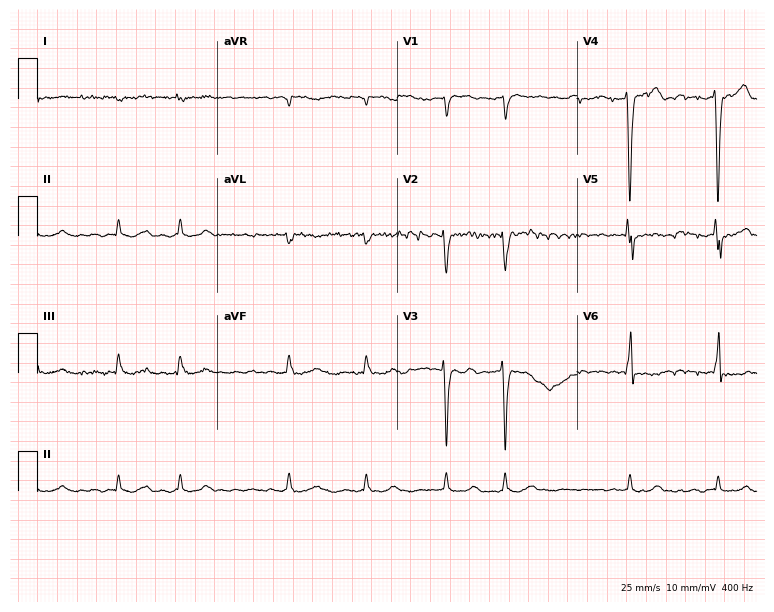
12-lead ECG (7.3-second recording at 400 Hz) from a 58-year-old male. Screened for six findings — first-degree AV block, right bundle branch block, left bundle branch block, sinus bradycardia, atrial fibrillation, sinus tachycardia — none is recorded. Only these six findings were labelled.